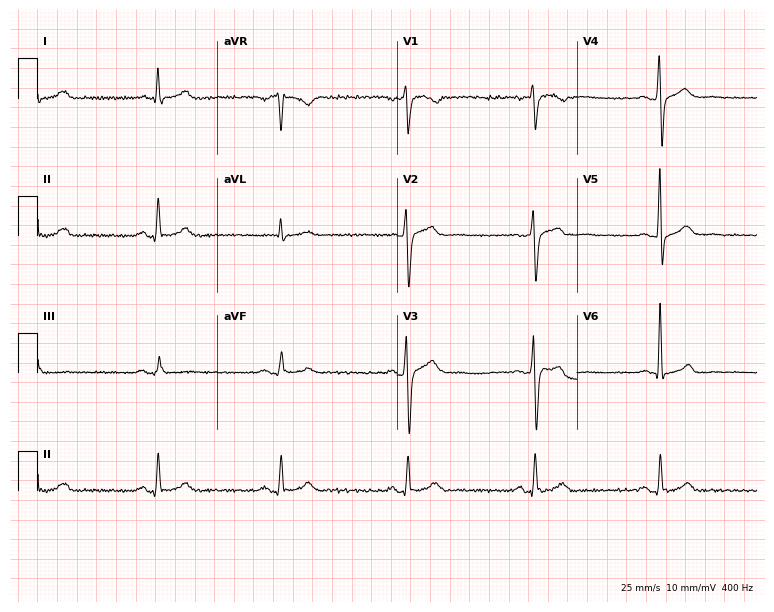
Resting 12-lead electrocardiogram (7.3-second recording at 400 Hz). Patient: a male, 53 years old. The tracing shows sinus bradycardia (a sinus rate of 50 beats per minute or less).